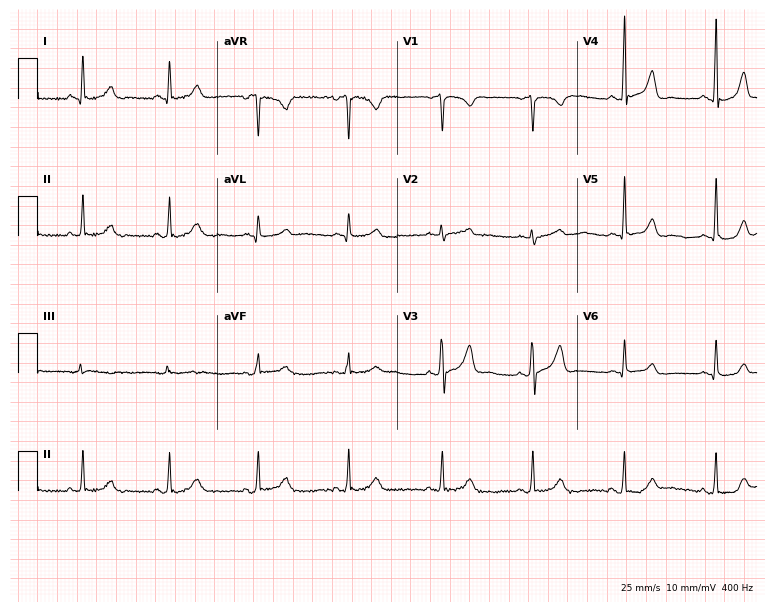
12-lead ECG (7.3-second recording at 400 Hz) from a 37-year-old woman. Screened for six findings — first-degree AV block, right bundle branch block, left bundle branch block, sinus bradycardia, atrial fibrillation, sinus tachycardia — none is recorded. Only these six findings were labelled.